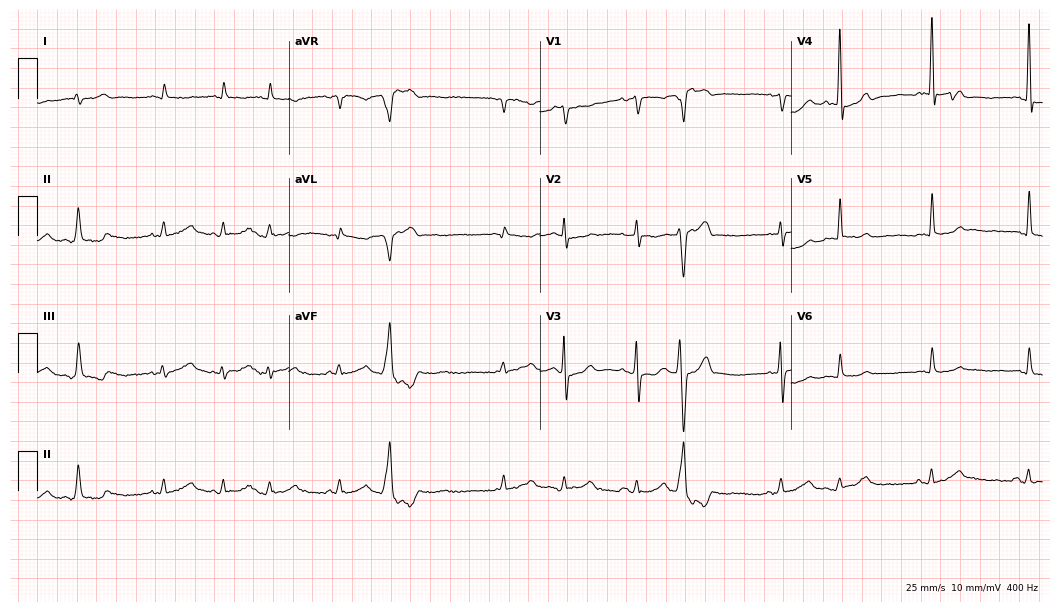
ECG (10.2-second recording at 400 Hz) — a man, 82 years old. Screened for six findings — first-degree AV block, right bundle branch block, left bundle branch block, sinus bradycardia, atrial fibrillation, sinus tachycardia — none is recorded.